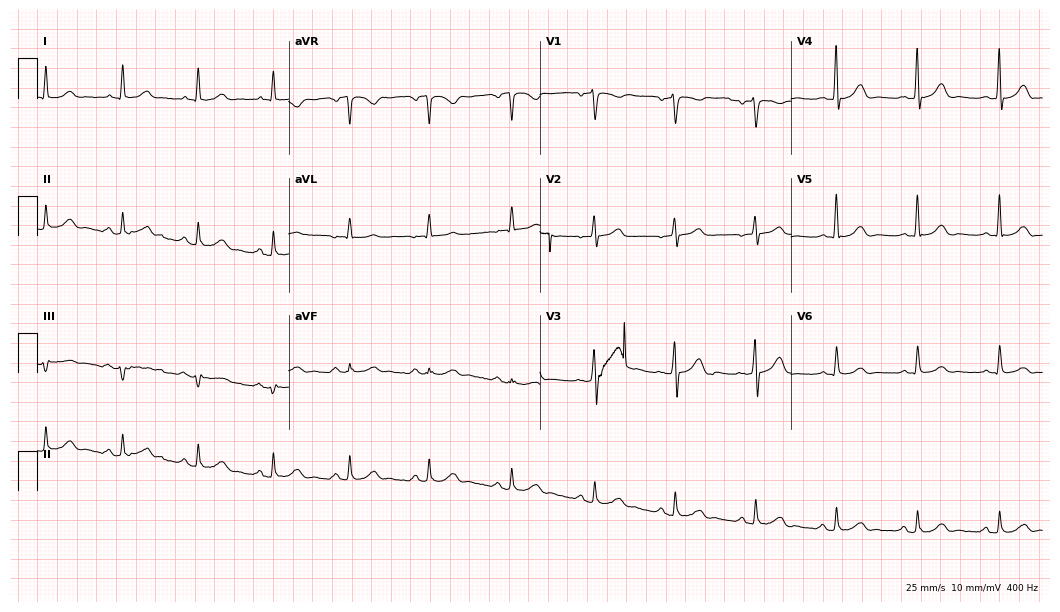
Standard 12-lead ECG recorded from a 75-year-old male patient. None of these six findings is recorded: first-degree AV block, right bundle branch block, left bundle branch block, sinus bradycardia, atrial fibrillation, sinus tachycardia. Other findings, if any, are not listed.